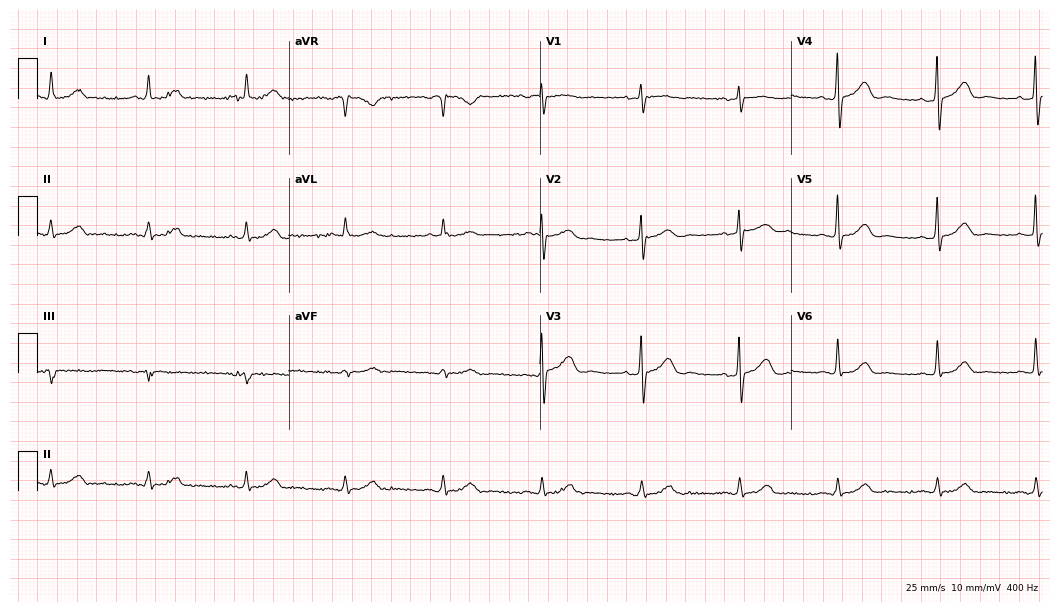
Electrocardiogram, a female, 69 years old. Overall reading on record: normal ECG.